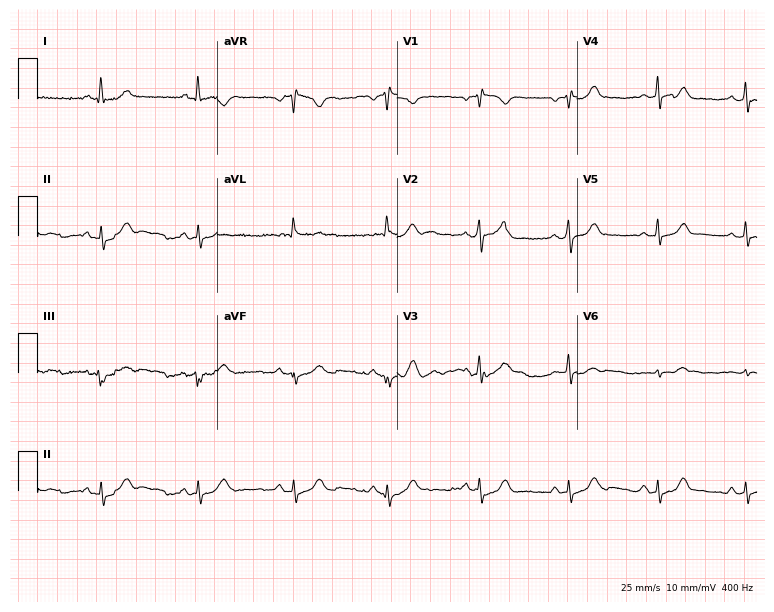
Standard 12-lead ECG recorded from a 63-year-old woman. Read as a normal ECG.